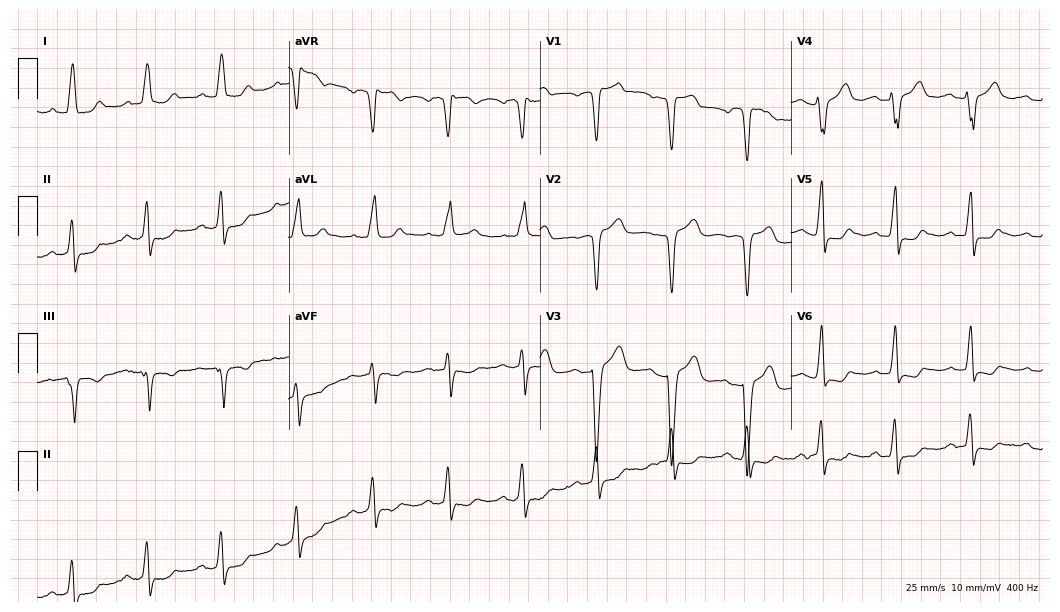
12-lead ECG from a female, 82 years old. Findings include left bundle branch block.